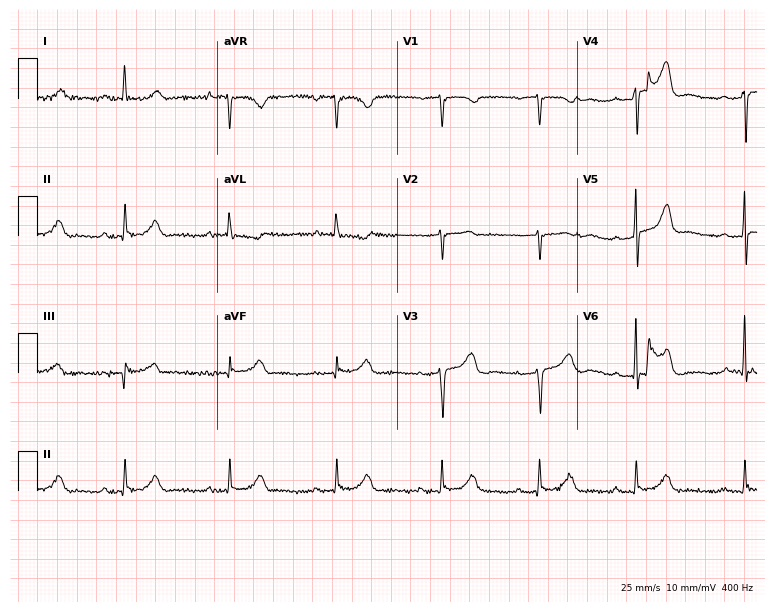
12-lead ECG from a 77-year-old woman (7.3-second recording at 400 Hz). Recorded interpretation: within normal limits.